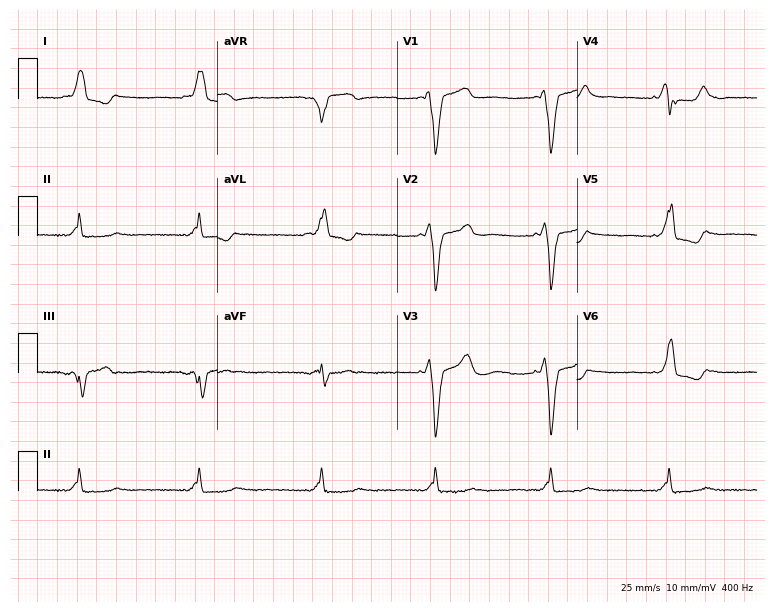
Resting 12-lead electrocardiogram. Patient: a woman, 53 years old. The tracing shows left bundle branch block.